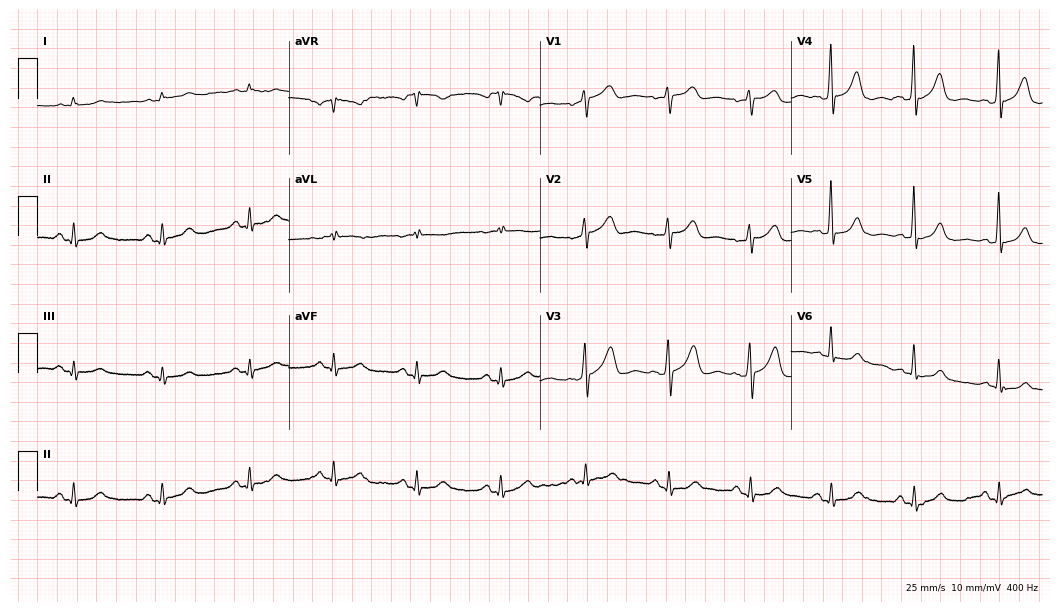
Resting 12-lead electrocardiogram (10.2-second recording at 400 Hz). Patient: a 69-year-old male. Read as a normal ECG.